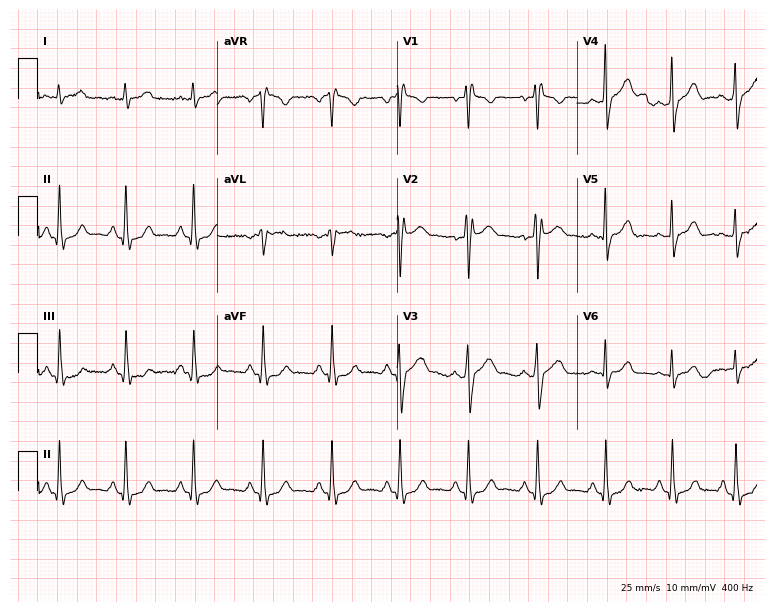
ECG (7.3-second recording at 400 Hz) — a male, 43 years old. Findings include right bundle branch block.